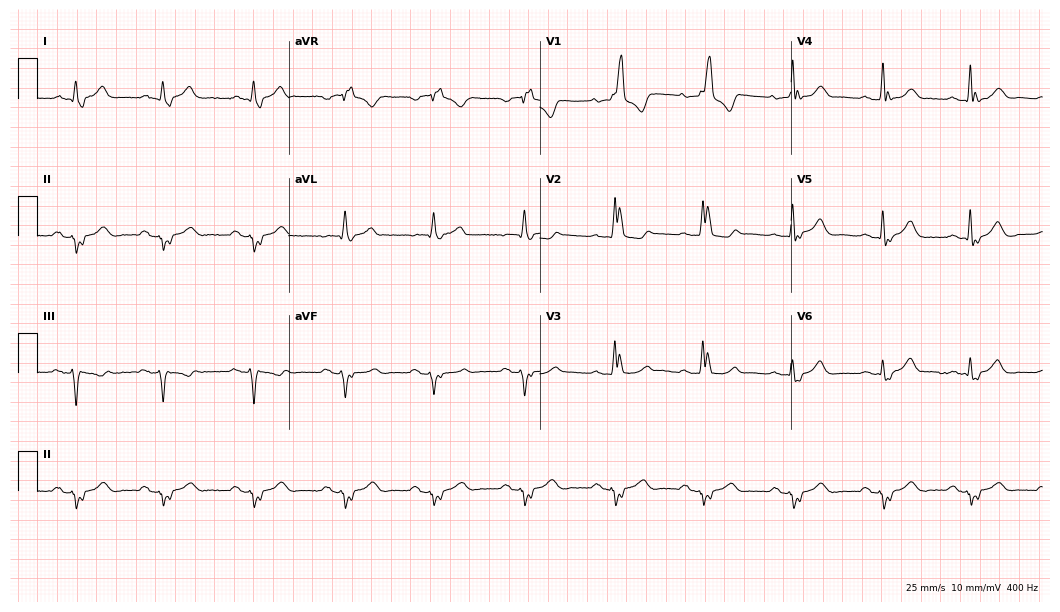
ECG (10.2-second recording at 400 Hz) — an 83-year-old man. Findings include right bundle branch block.